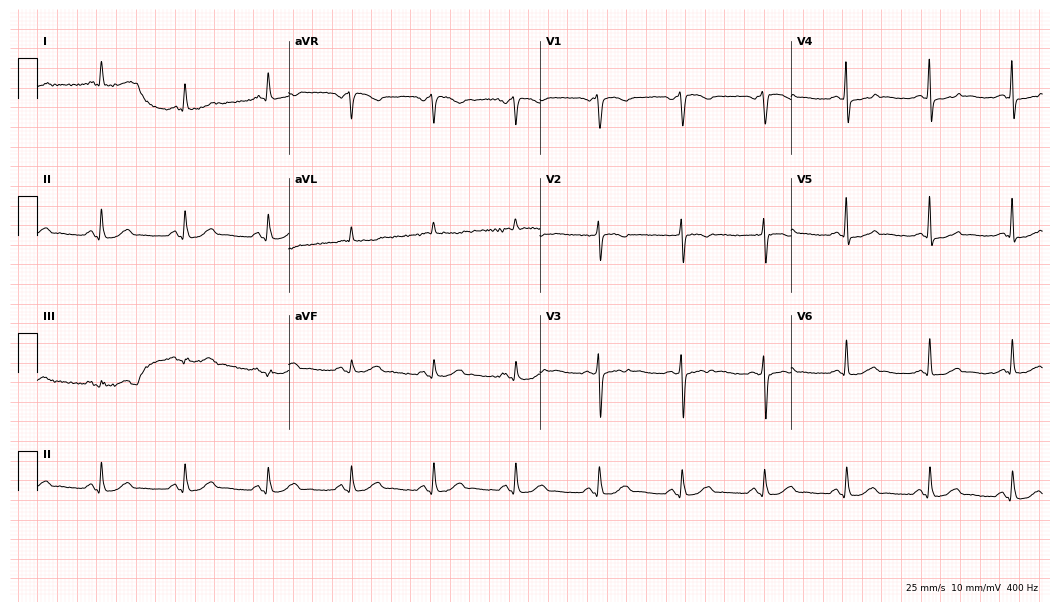
Standard 12-lead ECG recorded from a 60-year-old male patient. None of these six findings is recorded: first-degree AV block, right bundle branch block, left bundle branch block, sinus bradycardia, atrial fibrillation, sinus tachycardia. Other findings, if any, are not listed.